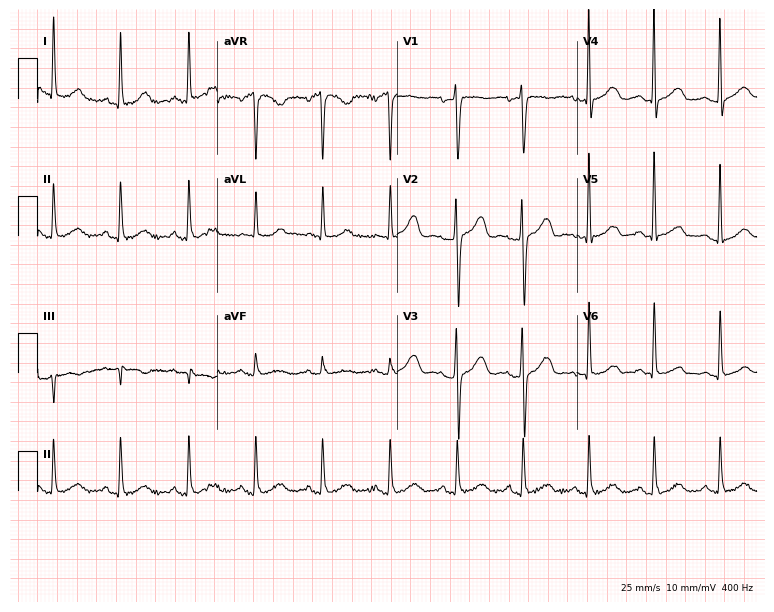
12-lead ECG from a 64-year-old woman (7.3-second recording at 400 Hz). Recorded interpretation: within normal limits.